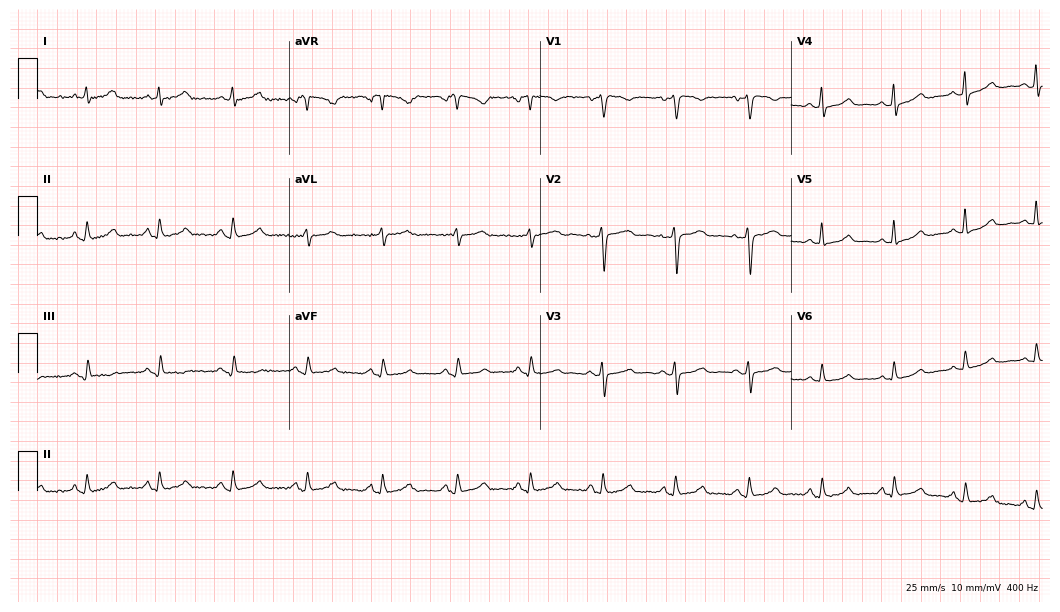
12-lead ECG from a female, 56 years old (10.2-second recording at 400 Hz). Recorded interpretation: within normal limits.